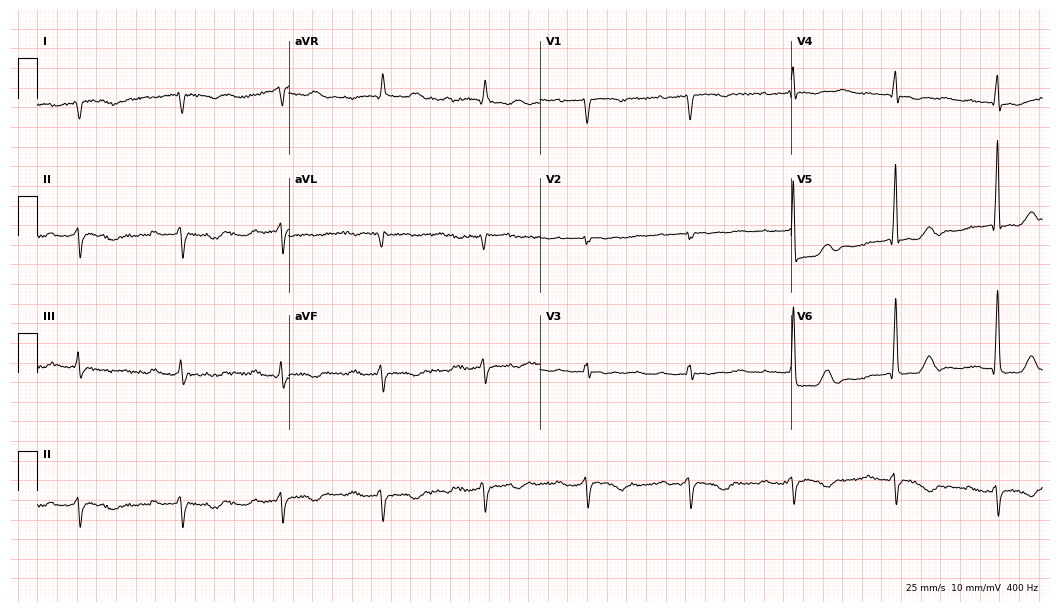
Resting 12-lead electrocardiogram. Patient: a male, 81 years old. None of these six findings is recorded: first-degree AV block, right bundle branch block, left bundle branch block, sinus bradycardia, atrial fibrillation, sinus tachycardia. Only these six findings were labelled.